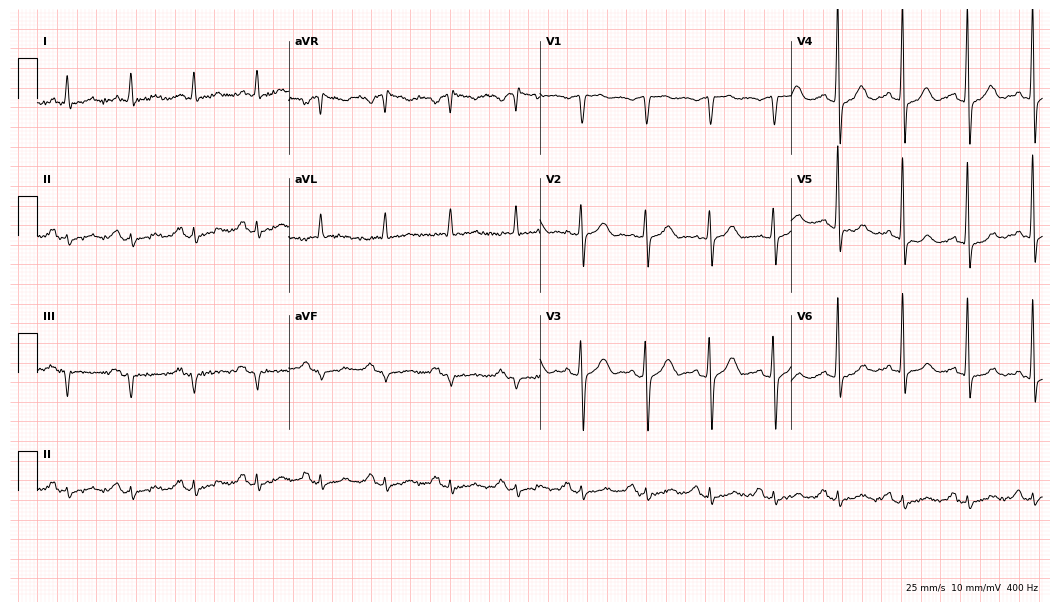
12-lead ECG from a male patient, 66 years old. Labelled as a normal ECG.